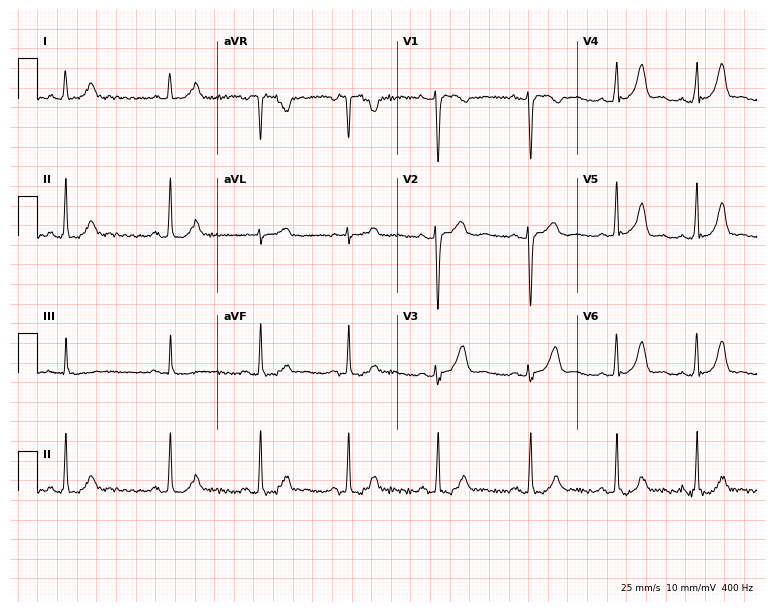
Electrocardiogram, a 30-year-old female patient. Overall reading on record: normal ECG.